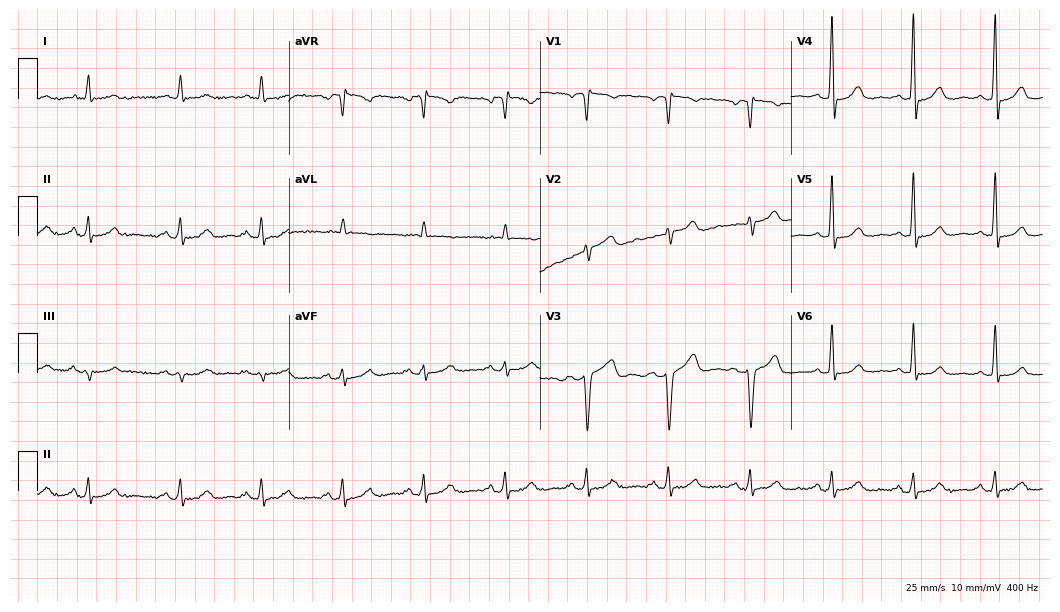
12-lead ECG from a male, 48 years old (10.2-second recording at 400 Hz). Recorded interpretation: within normal limits.